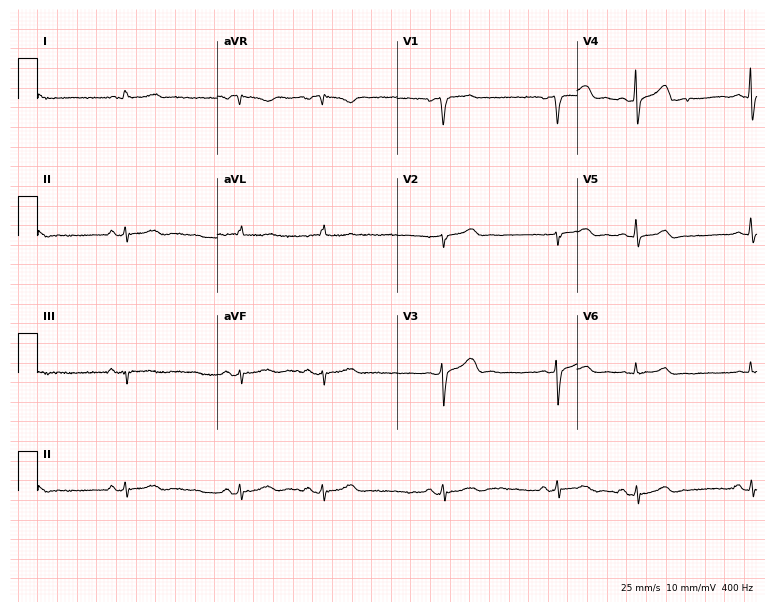
12-lead ECG from a male patient, 74 years old (7.3-second recording at 400 Hz). No first-degree AV block, right bundle branch block, left bundle branch block, sinus bradycardia, atrial fibrillation or sinus tachycardia recorded for this tracing.